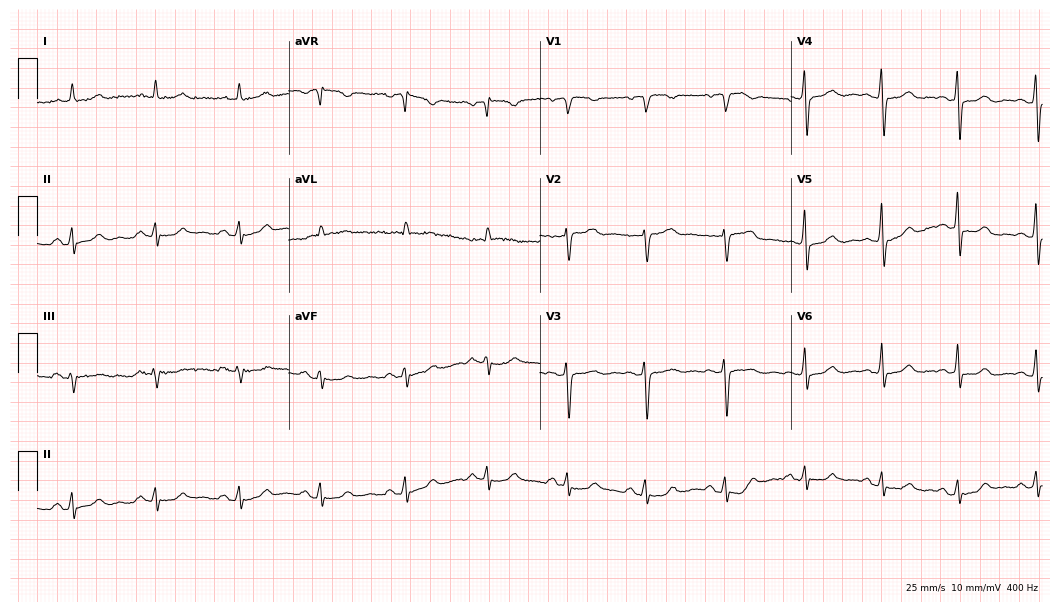
Standard 12-lead ECG recorded from a 60-year-old female (10.2-second recording at 400 Hz). None of these six findings is recorded: first-degree AV block, right bundle branch block, left bundle branch block, sinus bradycardia, atrial fibrillation, sinus tachycardia.